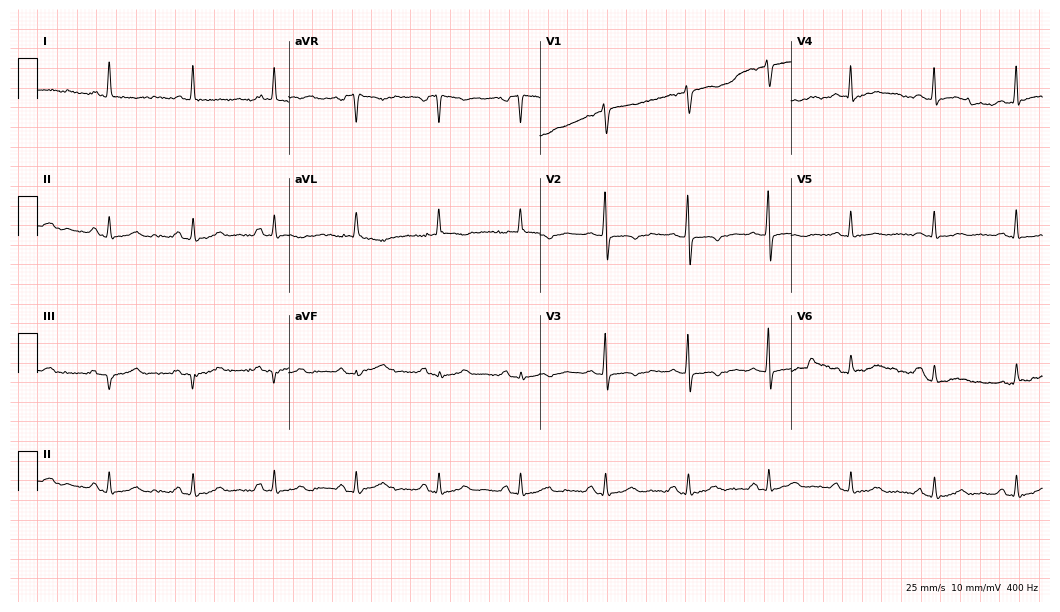
Electrocardiogram (10.2-second recording at 400 Hz), a woman, 75 years old. Of the six screened findings (first-degree AV block, right bundle branch block, left bundle branch block, sinus bradycardia, atrial fibrillation, sinus tachycardia), none is recorded. Findings outside these six are not listed.